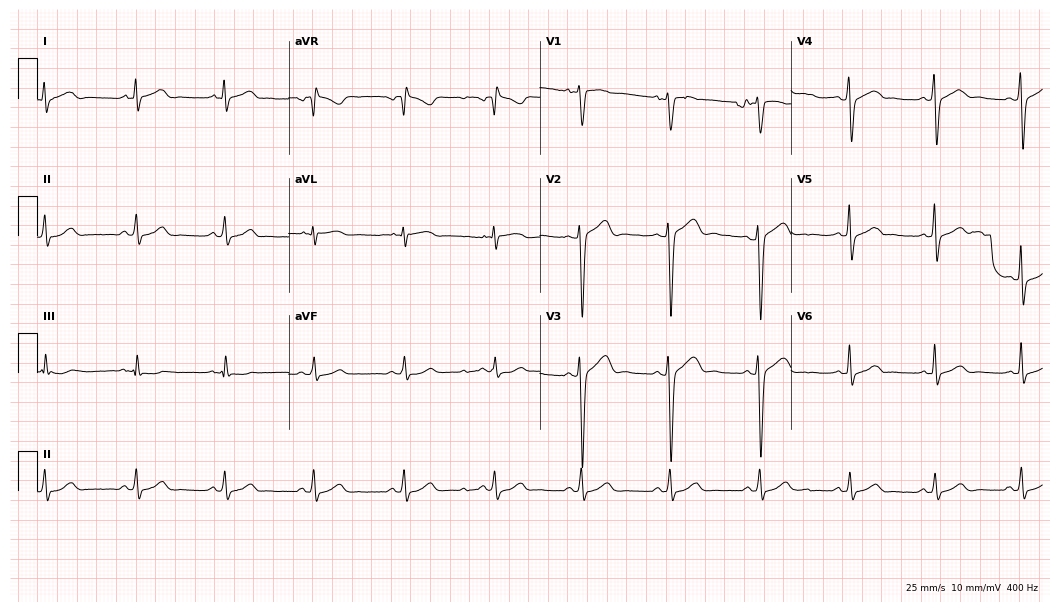
Electrocardiogram (10.2-second recording at 400 Hz), a male, 29 years old. Of the six screened findings (first-degree AV block, right bundle branch block, left bundle branch block, sinus bradycardia, atrial fibrillation, sinus tachycardia), none is recorded.